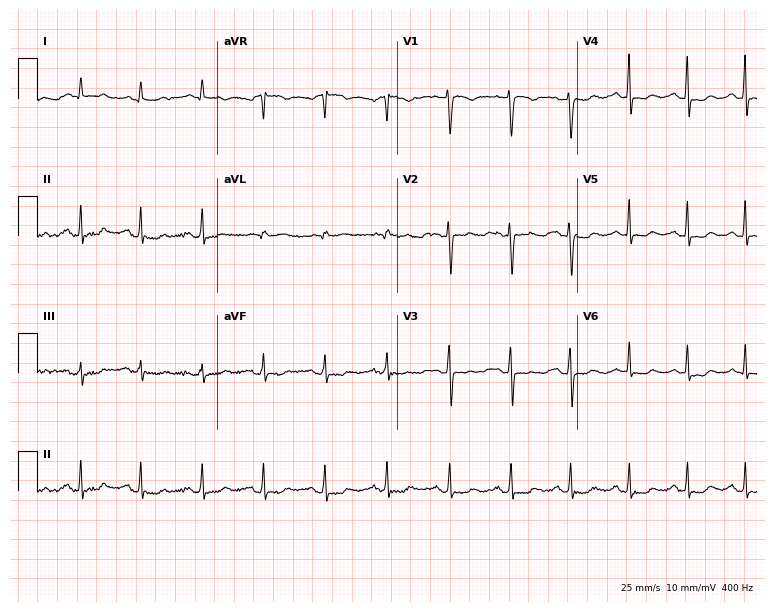
Resting 12-lead electrocardiogram. Patient: a 39-year-old female. Read as a normal ECG.